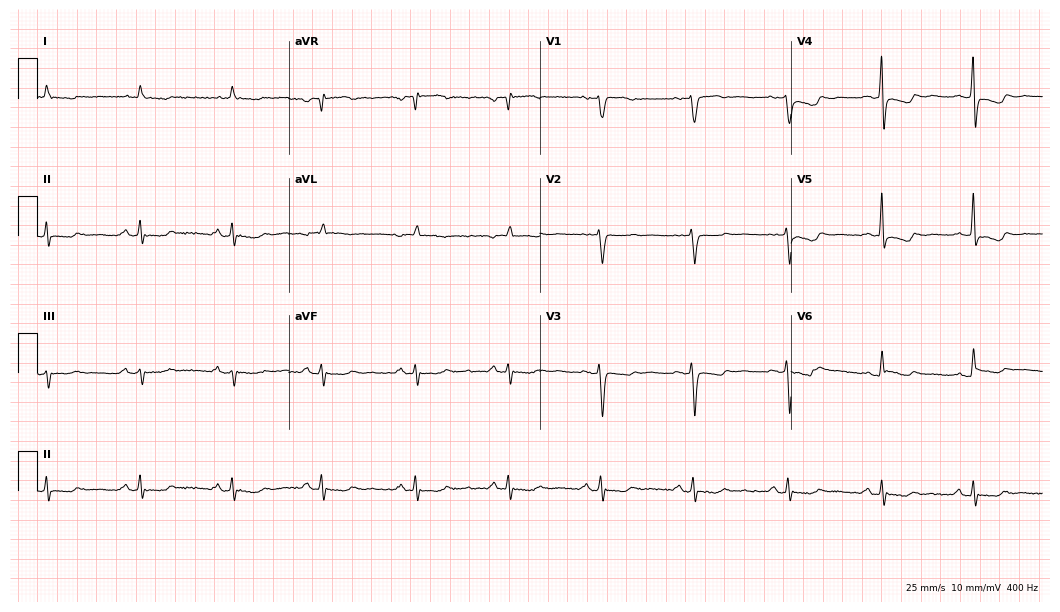
ECG — a female patient, 60 years old. Screened for six findings — first-degree AV block, right bundle branch block, left bundle branch block, sinus bradycardia, atrial fibrillation, sinus tachycardia — none is recorded.